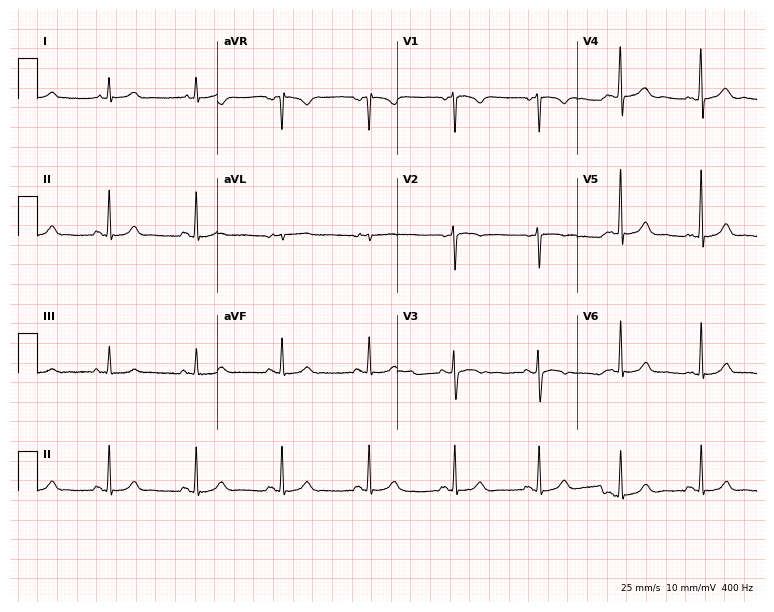
Resting 12-lead electrocardiogram (7.3-second recording at 400 Hz). Patient: a female, 39 years old. None of these six findings is recorded: first-degree AV block, right bundle branch block, left bundle branch block, sinus bradycardia, atrial fibrillation, sinus tachycardia. Only these six findings were labelled.